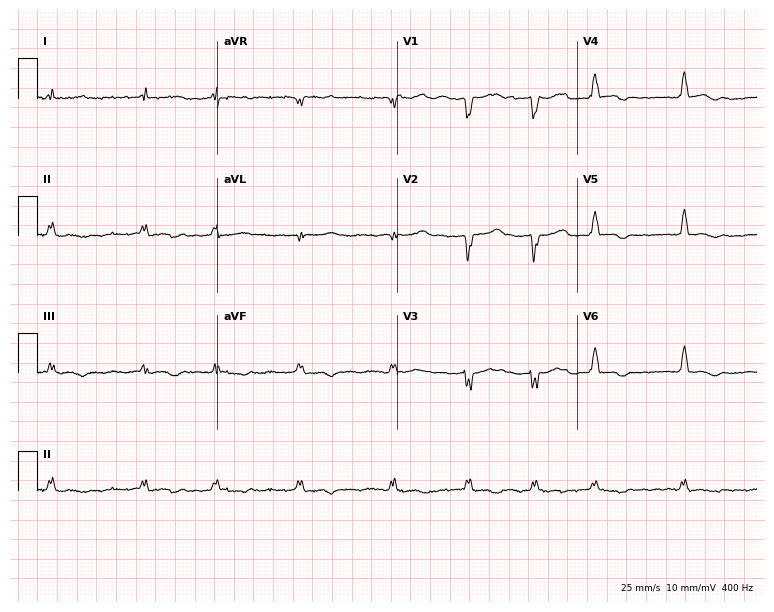
12-lead ECG from a woman, 69 years old. No first-degree AV block, right bundle branch block, left bundle branch block, sinus bradycardia, atrial fibrillation or sinus tachycardia recorded for this tracing. Findings outside these six are not listed.